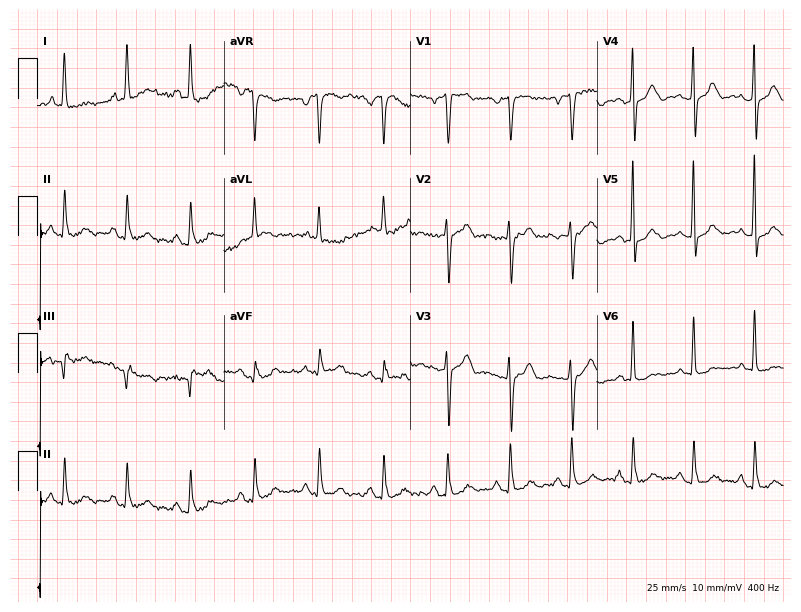
Resting 12-lead electrocardiogram (7.6-second recording at 400 Hz). Patient: an 81-year-old woman. None of these six findings is recorded: first-degree AV block, right bundle branch block, left bundle branch block, sinus bradycardia, atrial fibrillation, sinus tachycardia. Other findings, if any, are not listed.